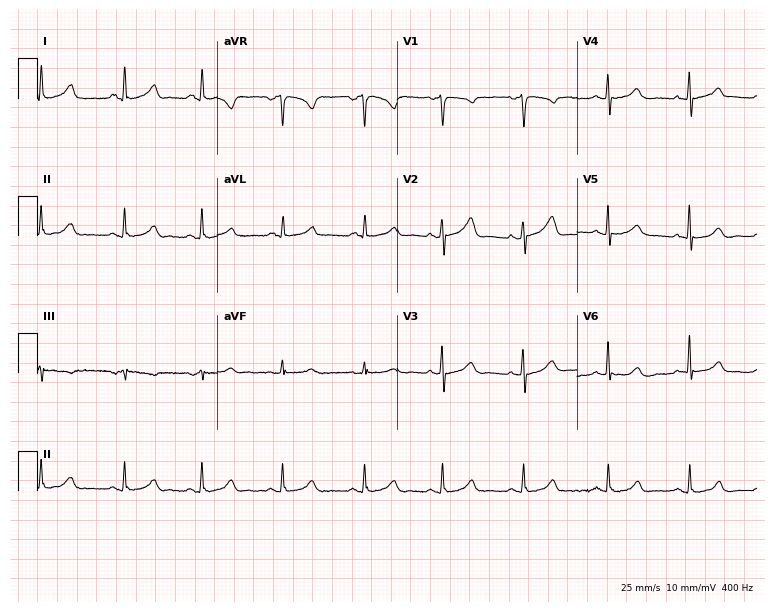
Standard 12-lead ECG recorded from a 43-year-old female patient. Read as a normal ECG.